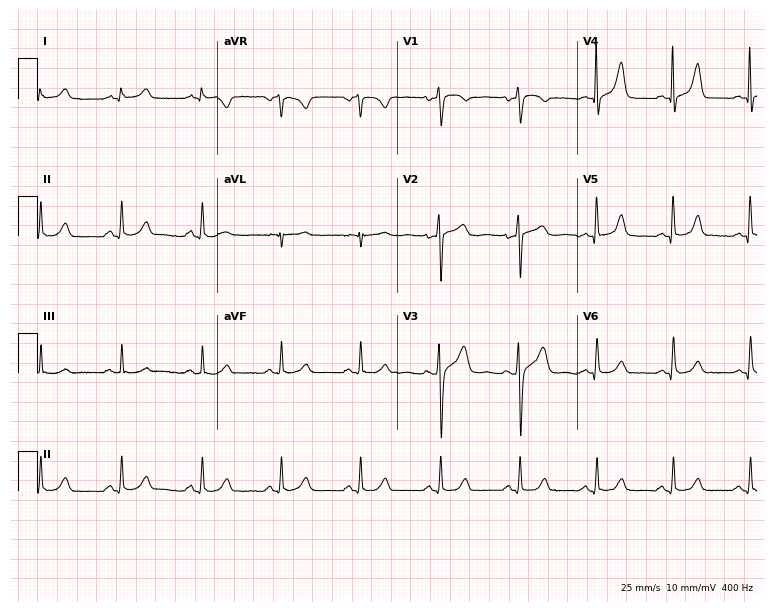
12-lead ECG from a 50-year-old male patient. Recorded interpretation: within normal limits.